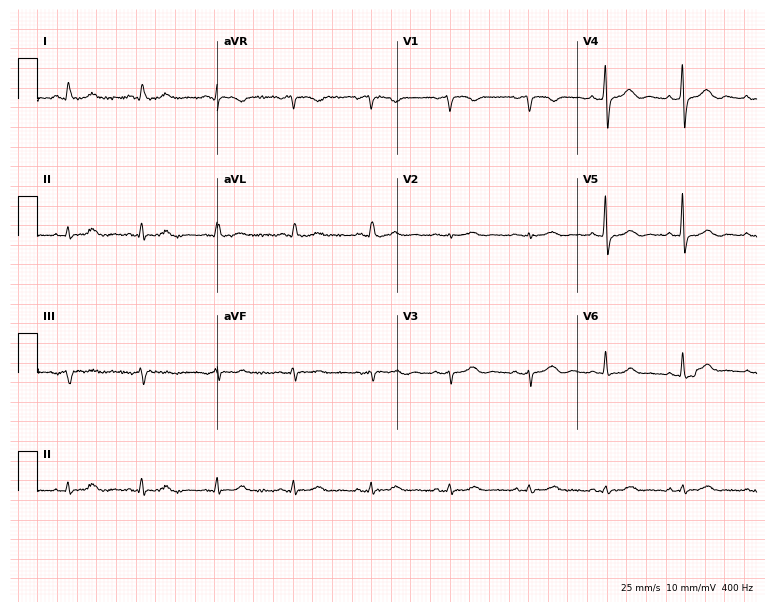
ECG — a female patient, 65 years old. Labelled as a normal ECG.